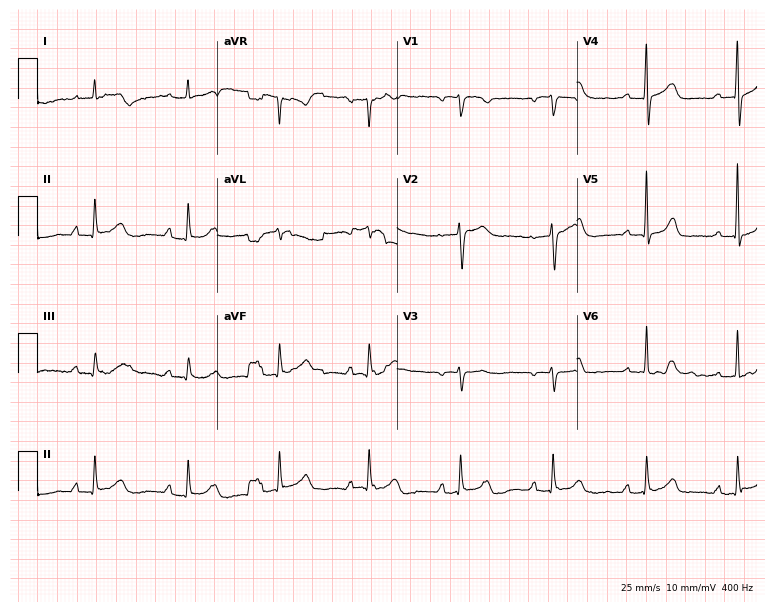
12-lead ECG from a female, 76 years old. Findings include first-degree AV block.